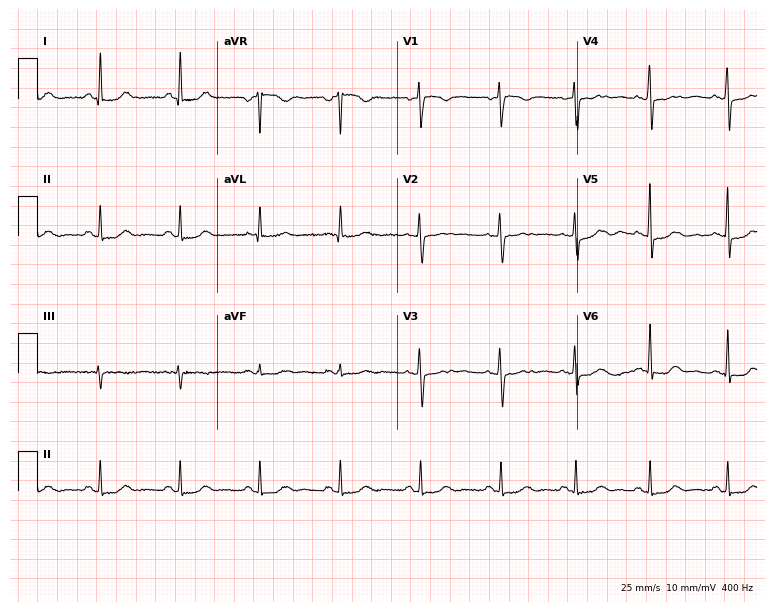
12-lead ECG from a 64-year-old female. Labelled as a normal ECG.